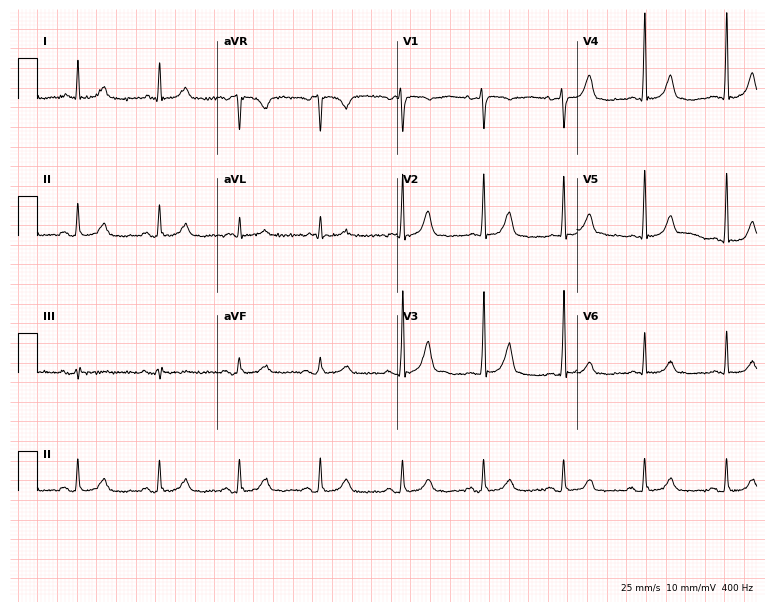
Resting 12-lead electrocardiogram (7.3-second recording at 400 Hz). Patient: a 78-year-old man. None of these six findings is recorded: first-degree AV block, right bundle branch block (RBBB), left bundle branch block (LBBB), sinus bradycardia, atrial fibrillation (AF), sinus tachycardia.